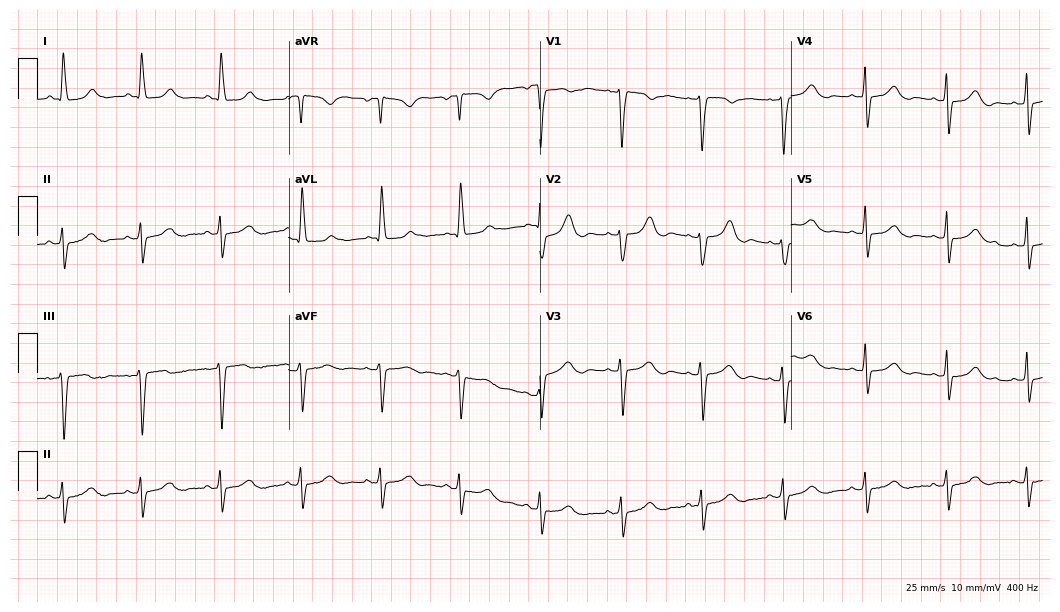
Standard 12-lead ECG recorded from a 78-year-old female (10.2-second recording at 400 Hz). None of these six findings is recorded: first-degree AV block, right bundle branch block, left bundle branch block, sinus bradycardia, atrial fibrillation, sinus tachycardia. Findings outside these six are not listed.